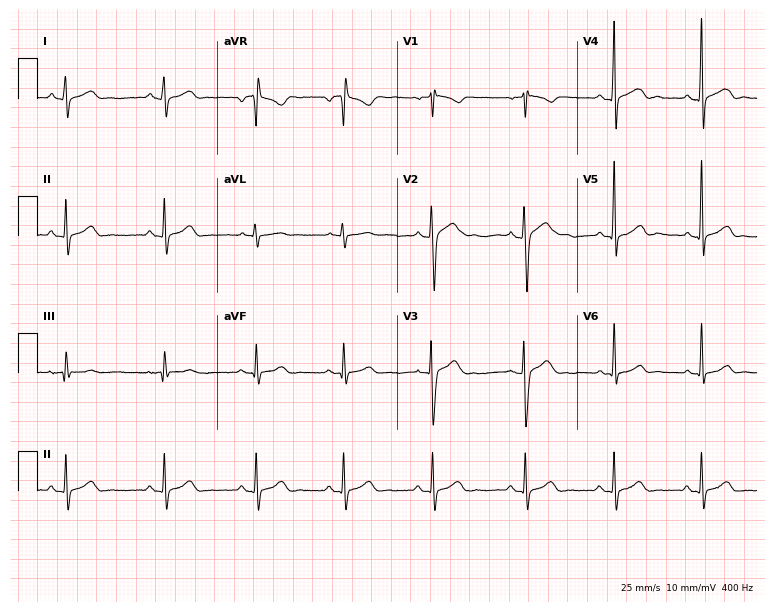
Resting 12-lead electrocardiogram. Patient: a 25-year-old male. Read as a normal ECG.